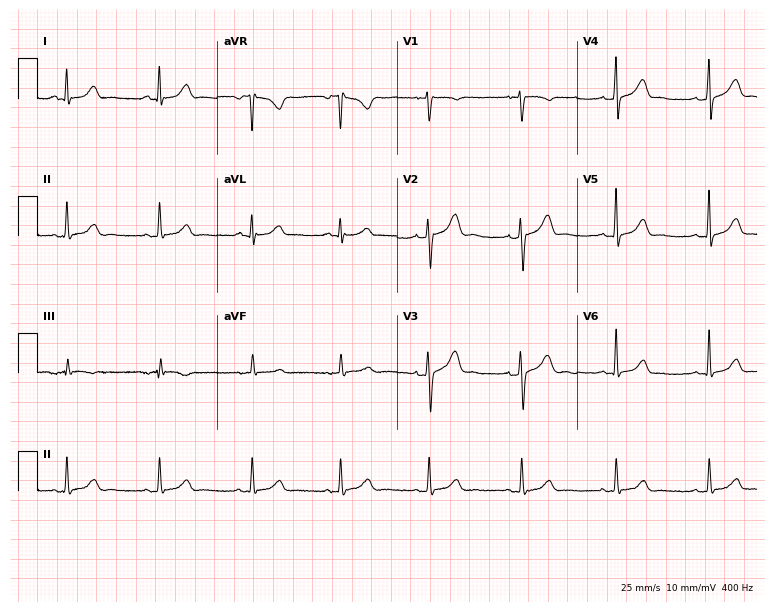
Resting 12-lead electrocardiogram. Patient: a 27-year-old female. Read as a normal ECG.